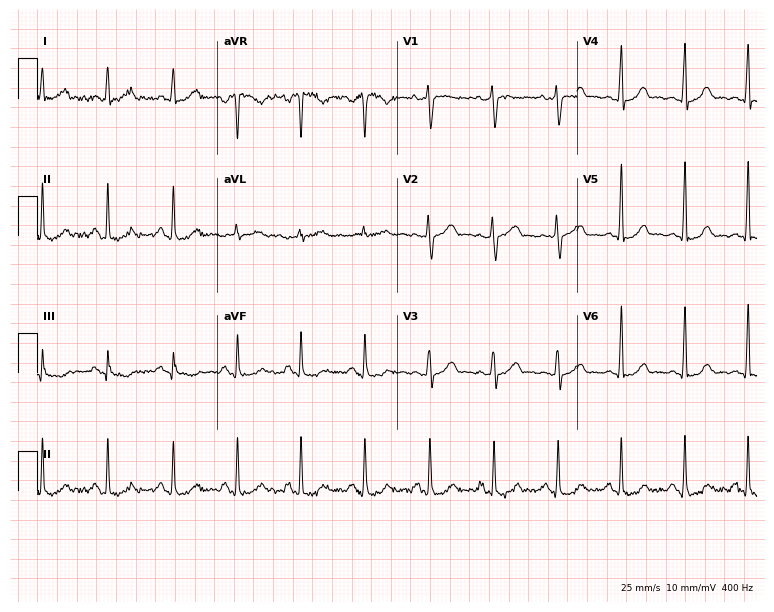
Standard 12-lead ECG recorded from a female, 45 years old (7.3-second recording at 400 Hz). None of these six findings is recorded: first-degree AV block, right bundle branch block (RBBB), left bundle branch block (LBBB), sinus bradycardia, atrial fibrillation (AF), sinus tachycardia.